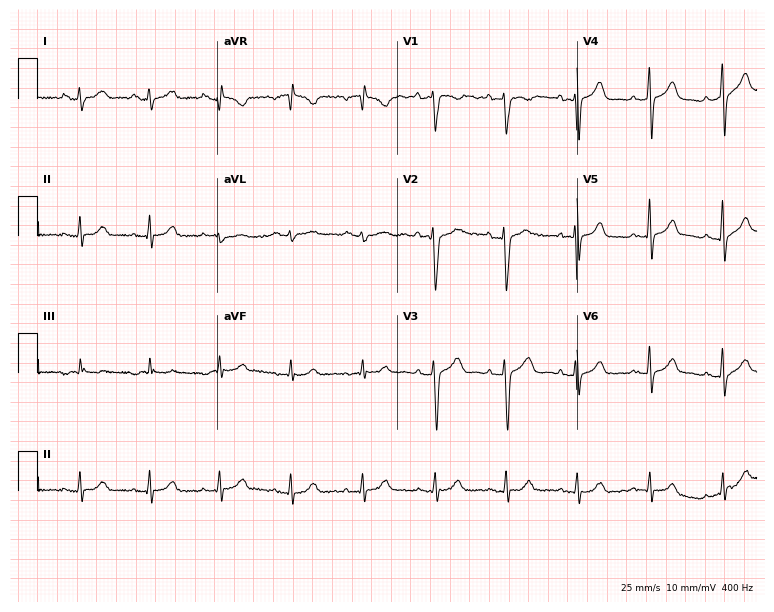
Resting 12-lead electrocardiogram. Patient: a female, 39 years old. Read as a normal ECG.